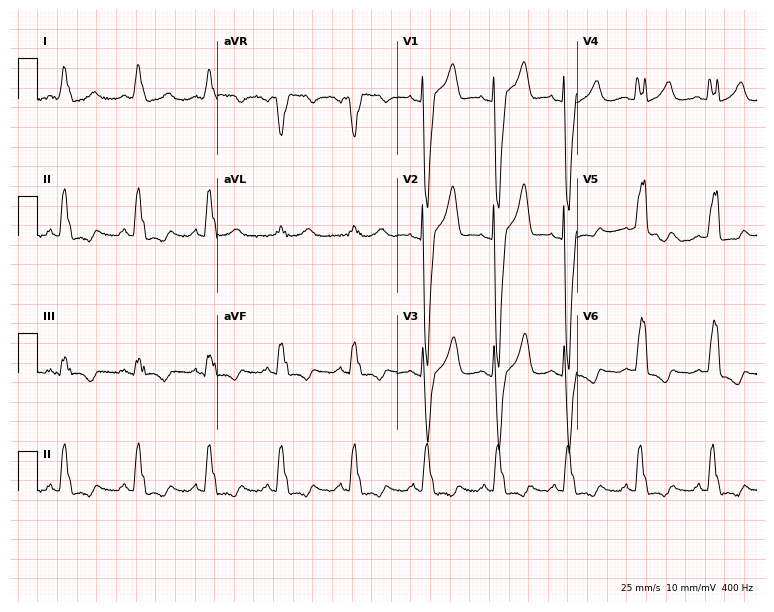
12-lead ECG from a 70-year-old woman (7.3-second recording at 400 Hz). No first-degree AV block, right bundle branch block, left bundle branch block, sinus bradycardia, atrial fibrillation or sinus tachycardia recorded for this tracing. Other findings, if any, are not listed.